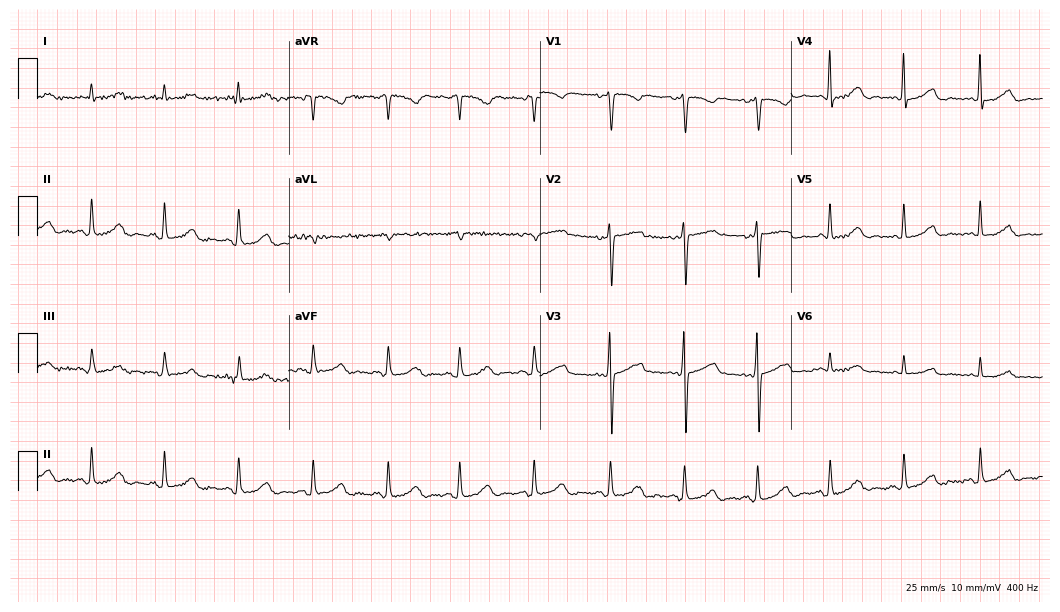
Resting 12-lead electrocardiogram (10.2-second recording at 400 Hz). Patient: a 49-year-old female. Read as a normal ECG.